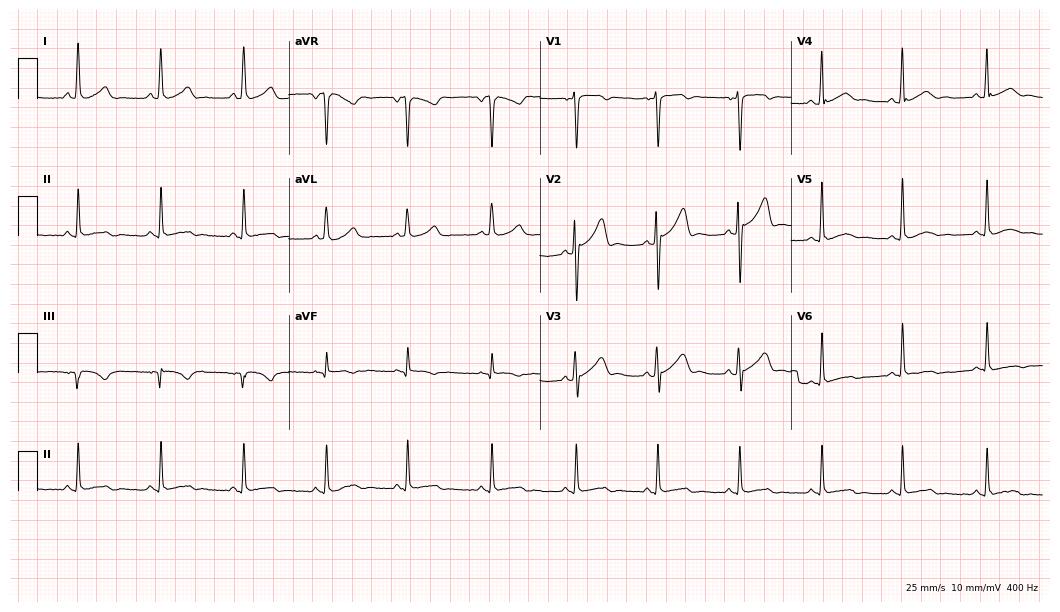
12-lead ECG from a male patient, 37 years old (10.2-second recording at 400 Hz). No first-degree AV block, right bundle branch block, left bundle branch block, sinus bradycardia, atrial fibrillation or sinus tachycardia recorded for this tracing. Only these six findings were labelled.